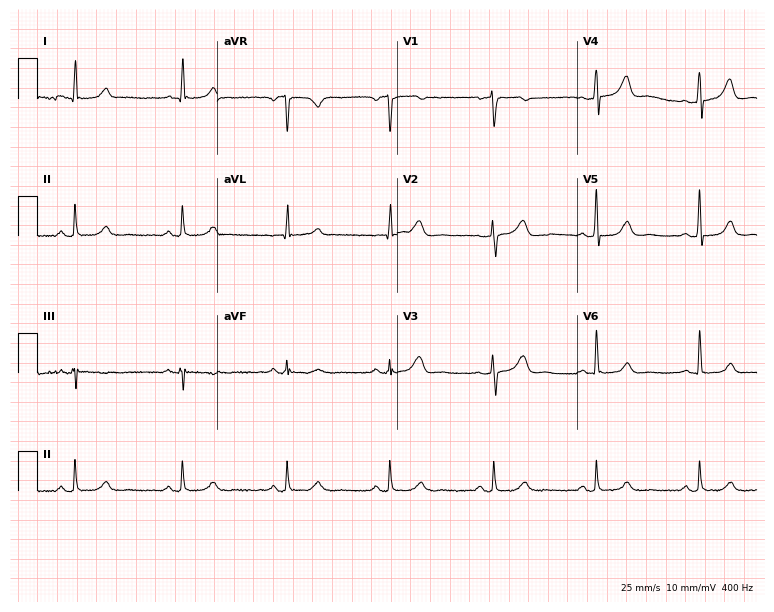
ECG (7.3-second recording at 400 Hz) — a female patient, 59 years old. Screened for six findings — first-degree AV block, right bundle branch block, left bundle branch block, sinus bradycardia, atrial fibrillation, sinus tachycardia — none is recorded. Only these six findings were labelled.